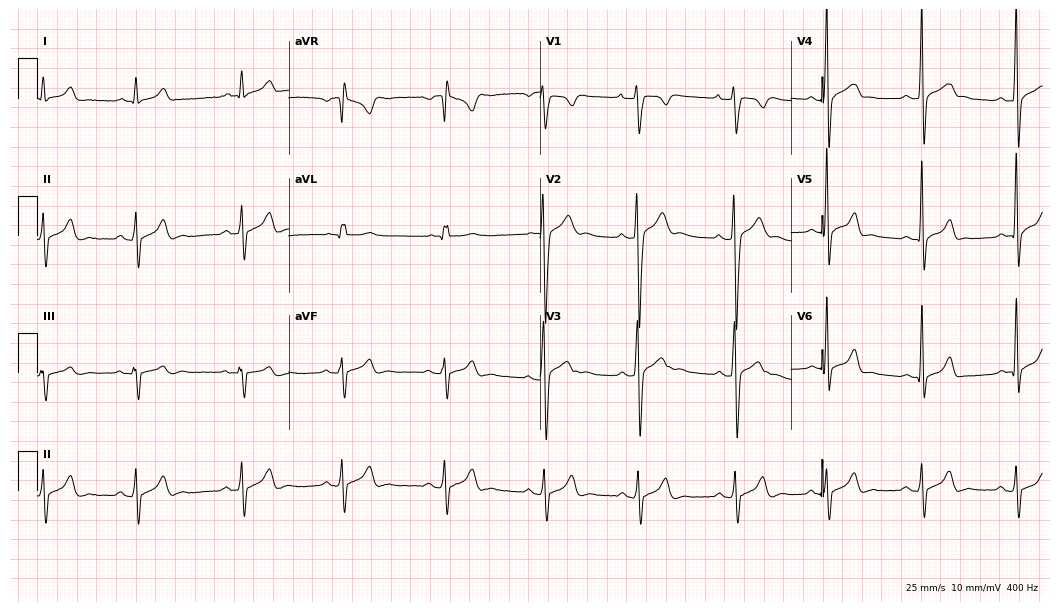
Standard 12-lead ECG recorded from a 17-year-old man. None of these six findings is recorded: first-degree AV block, right bundle branch block, left bundle branch block, sinus bradycardia, atrial fibrillation, sinus tachycardia.